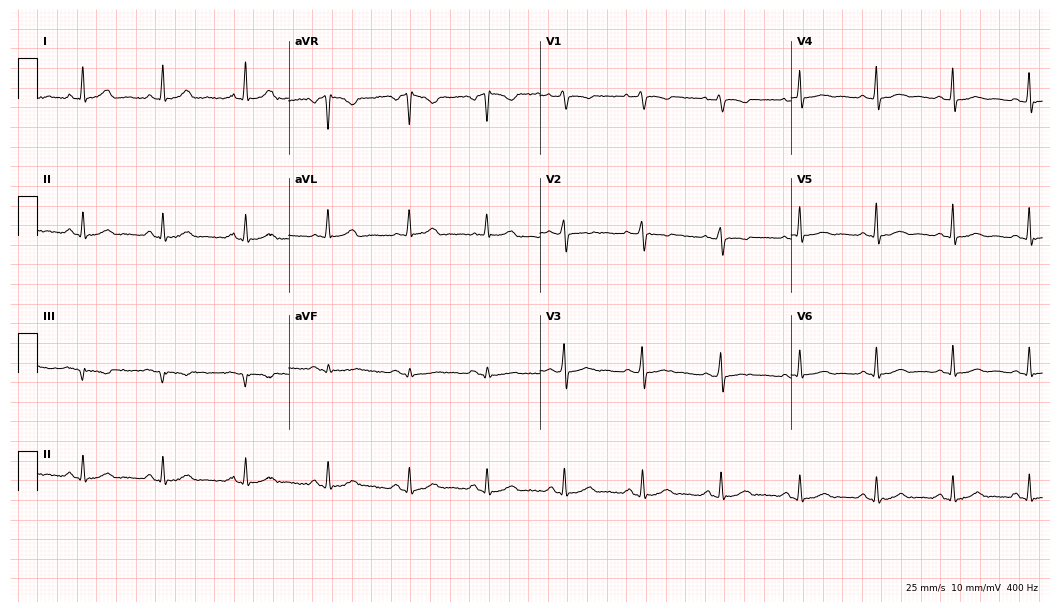
Standard 12-lead ECG recorded from a woman, 49 years old. None of these six findings is recorded: first-degree AV block, right bundle branch block, left bundle branch block, sinus bradycardia, atrial fibrillation, sinus tachycardia. Only these six findings were labelled.